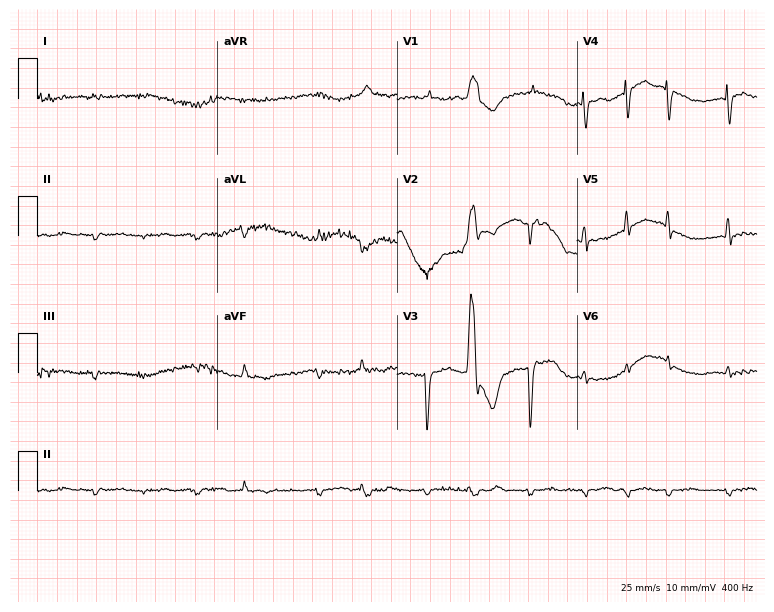
12-lead ECG from a male patient, 72 years old. No first-degree AV block, right bundle branch block (RBBB), left bundle branch block (LBBB), sinus bradycardia, atrial fibrillation (AF) or sinus tachycardia recorded for this tracing.